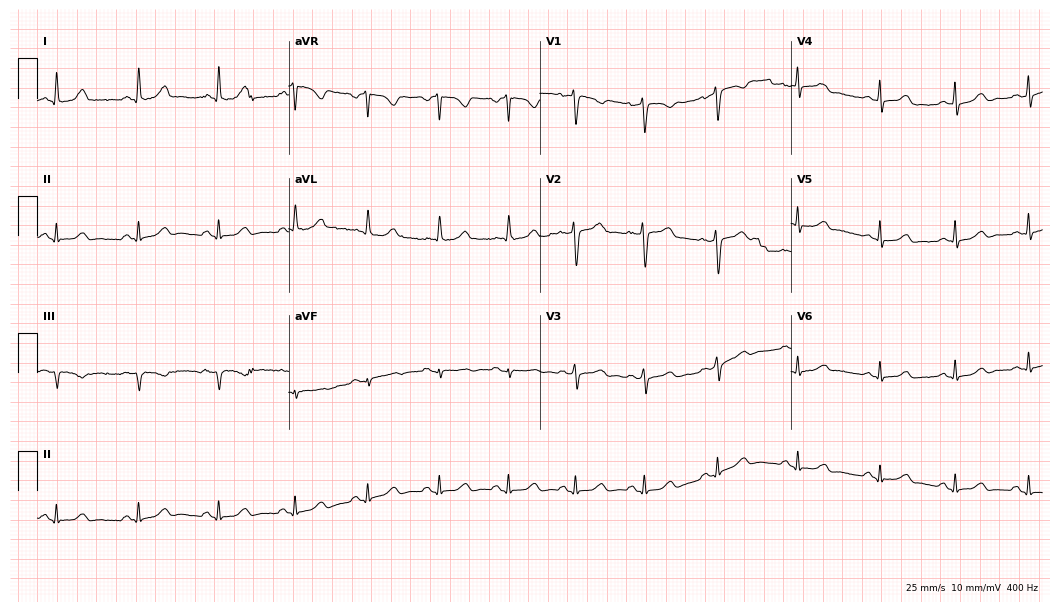
ECG — a woman, 39 years old. Labelled as a normal ECG.